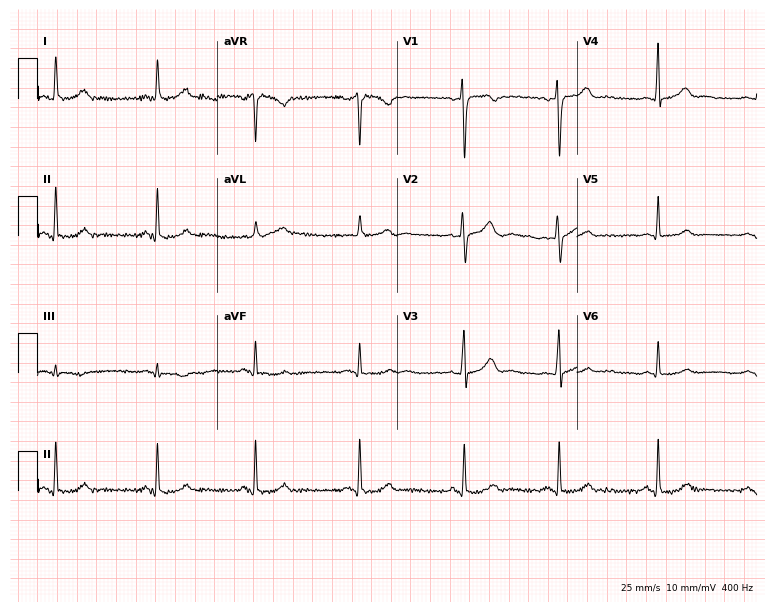
12-lead ECG from a female, 44 years old (7.3-second recording at 400 Hz). No first-degree AV block, right bundle branch block, left bundle branch block, sinus bradycardia, atrial fibrillation or sinus tachycardia recorded for this tracing.